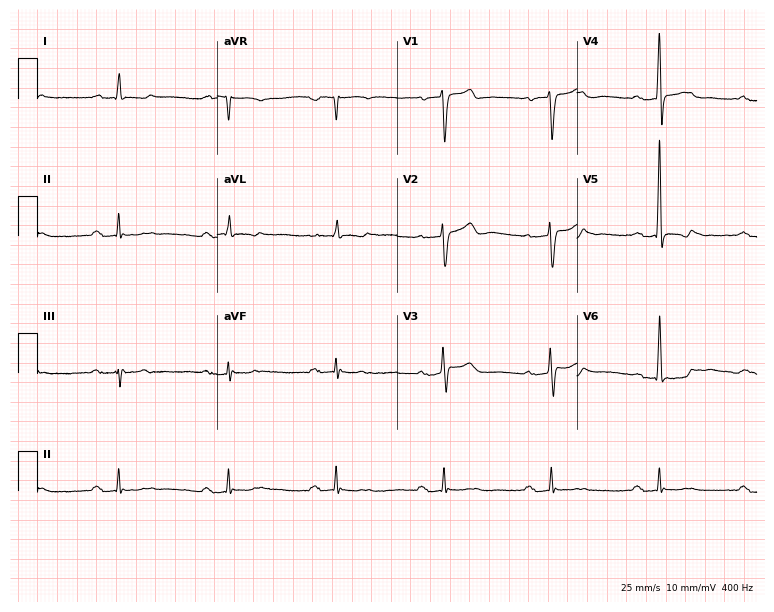
Standard 12-lead ECG recorded from a male patient, 79 years old. The tracing shows first-degree AV block.